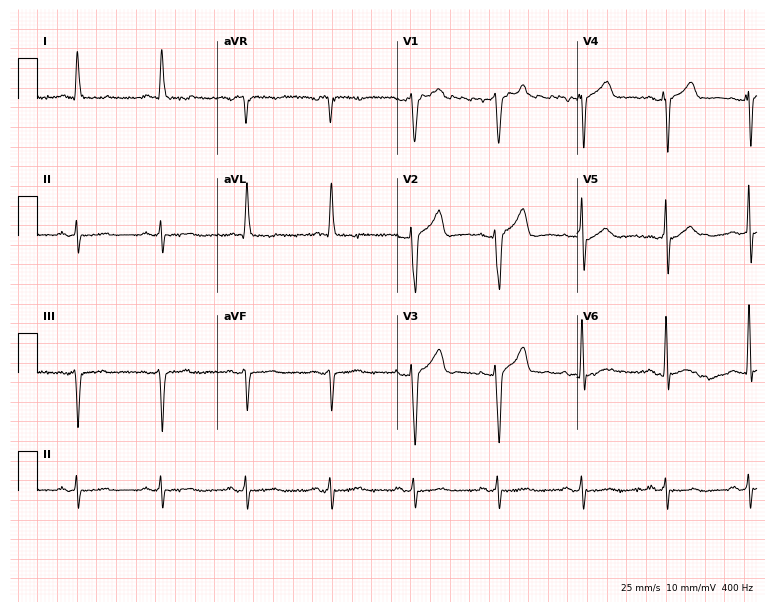
Resting 12-lead electrocardiogram (7.3-second recording at 400 Hz). Patient: an 82-year-old male. None of these six findings is recorded: first-degree AV block, right bundle branch block, left bundle branch block, sinus bradycardia, atrial fibrillation, sinus tachycardia. Only these six findings were labelled.